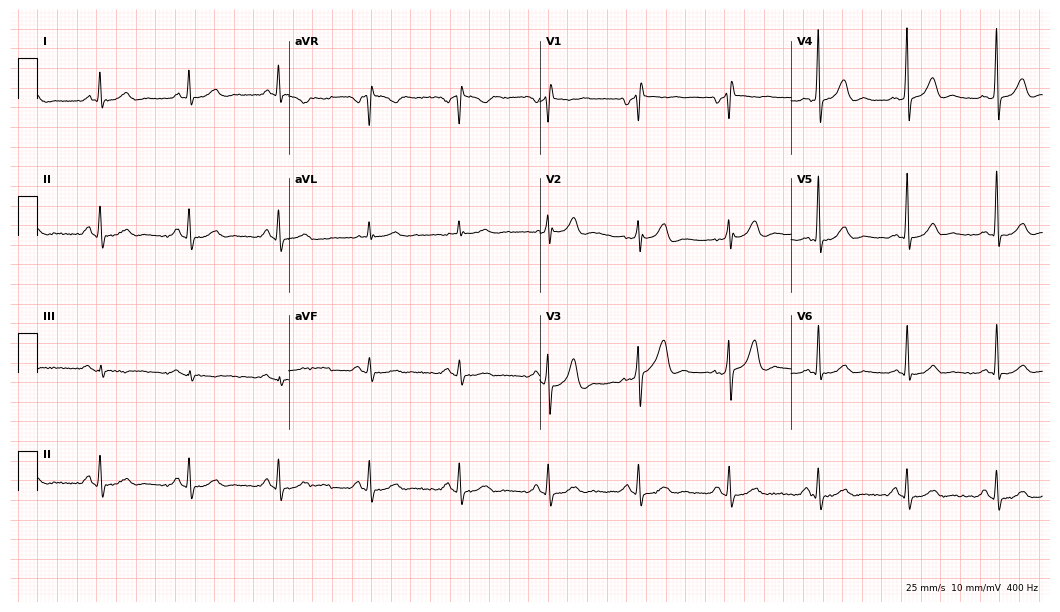
Electrocardiogram, a male patient, 74 years old. Of the six screened findings (first-degree AV block, right bundle branch block (RBBB), left bundle branch block (LBBB), sinus bradycardia, atrial fibrillation (AF), sinus tachycardia), none is recorded.